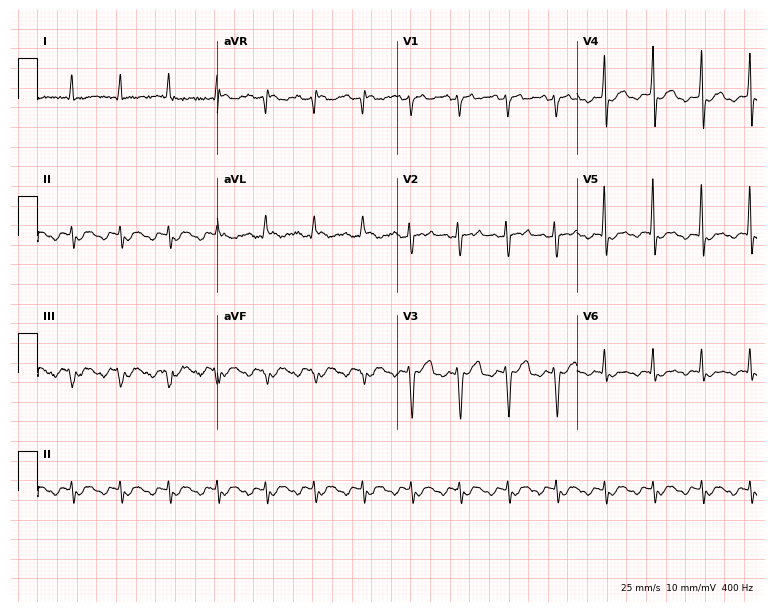
Electrocardiogram (7.3-second recording at 400 Hz), a 75-year-old man. Interpretation includes sinus tachycardia (a sinus rate of 100 beats per minute or more).